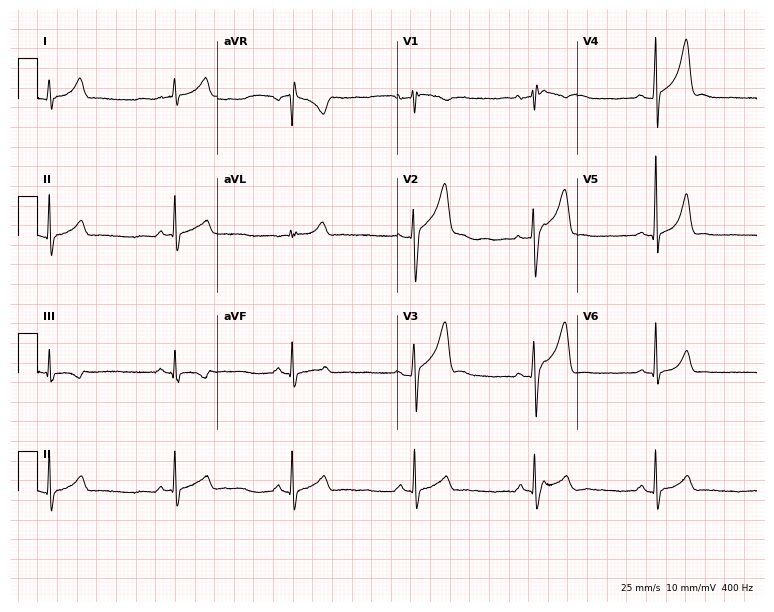
ECG (7.3-second recording at 400 Hz) — a man, 27 years old. Labelled as a normal ECG.